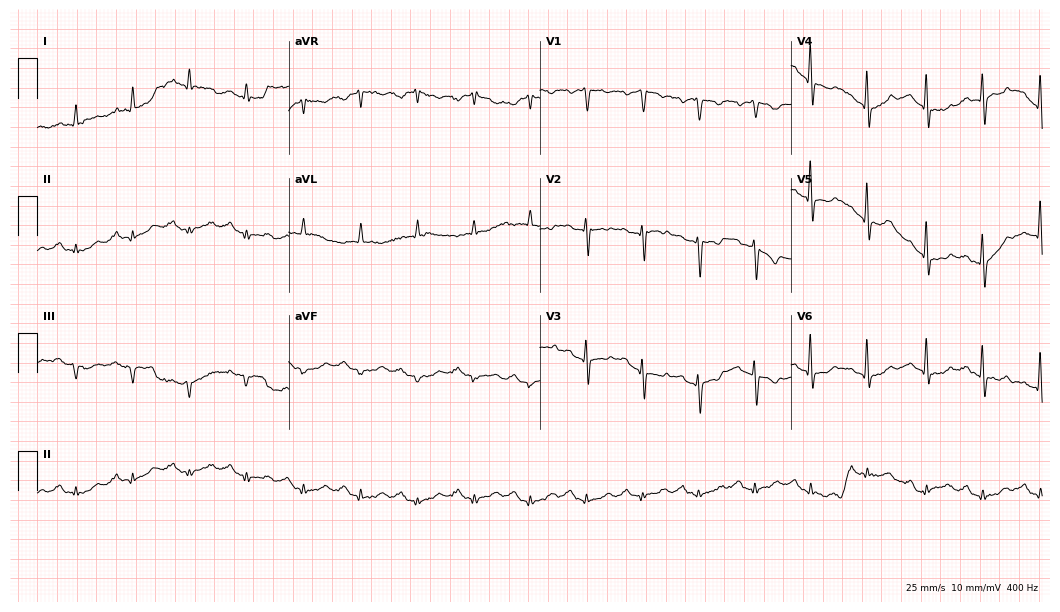
Standard 12-lead ECG recorded from a 72-year-old male. None of these six findings is recorded: first-degree AV block, right bundle branch block (RBBB), left bundle branch block (LBBB), sinus bradycardia, atrial fibrillation (AF), sinus tachycardia.